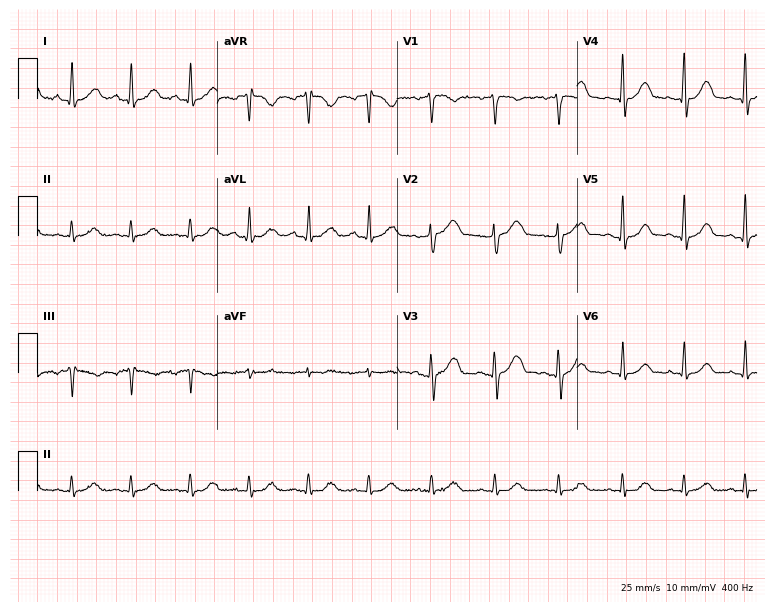
Resting 12-lead electrocardiogram. Patient: a 43-year-old woman. Read as a normal ECG.